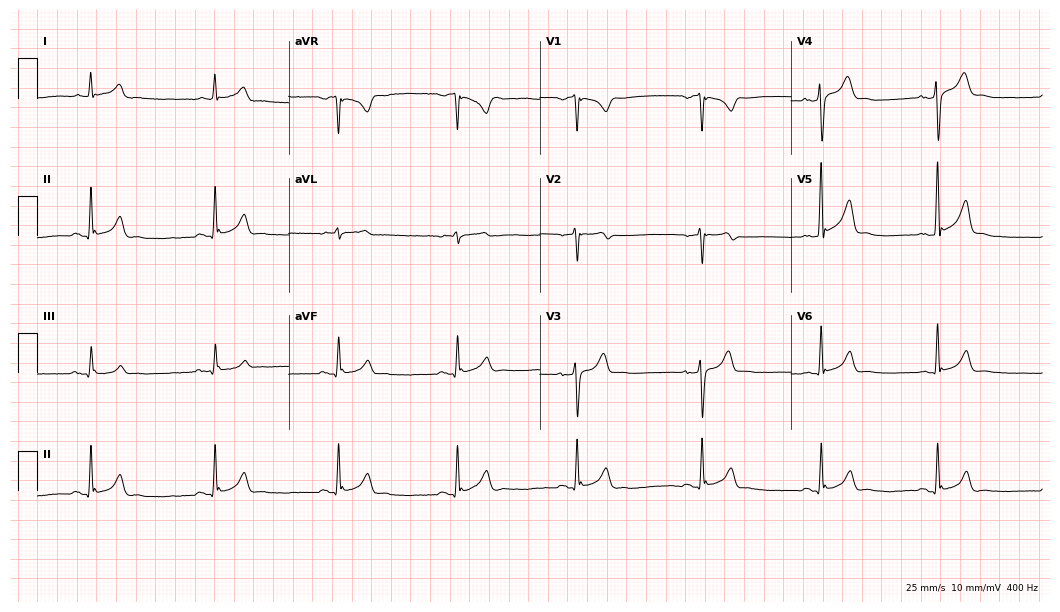
ECG (10.2-second recording at 400 Hz) — a 36-year-old man. Screened for six findings — first-degree AV block, right bundle branch block (RBBB), left bundle branch block (LBBB), sinus bradycardia, atrial fibrillation (AF), sinus tachycardia — none is recorded.